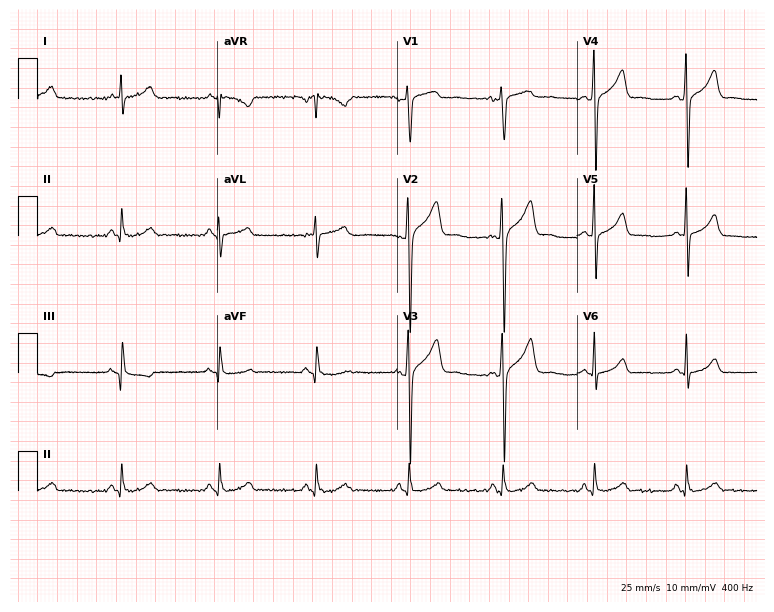
12-lead ECG (7.3-second recording at 400 Hz) from a 40-year-old man. Screened for six findings — first-degree AV block, right bundle branch block, left bundle branch block, sinus bradycardia, atrial fibrillation, sinus tachycardia — none is recorded. Other findings, if any, are not listed.